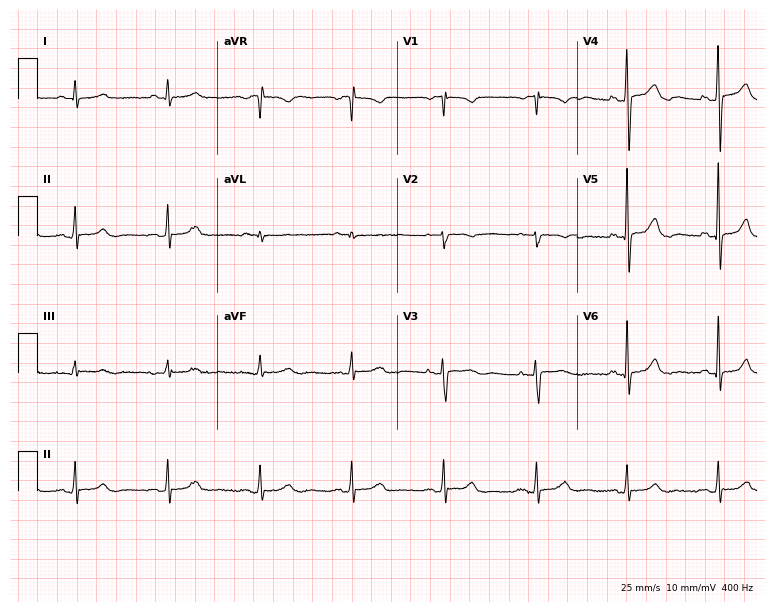
ECG (7.3-second recording at 400 Hz) — an 81-year-old woman. Labelled as a normal ECG.